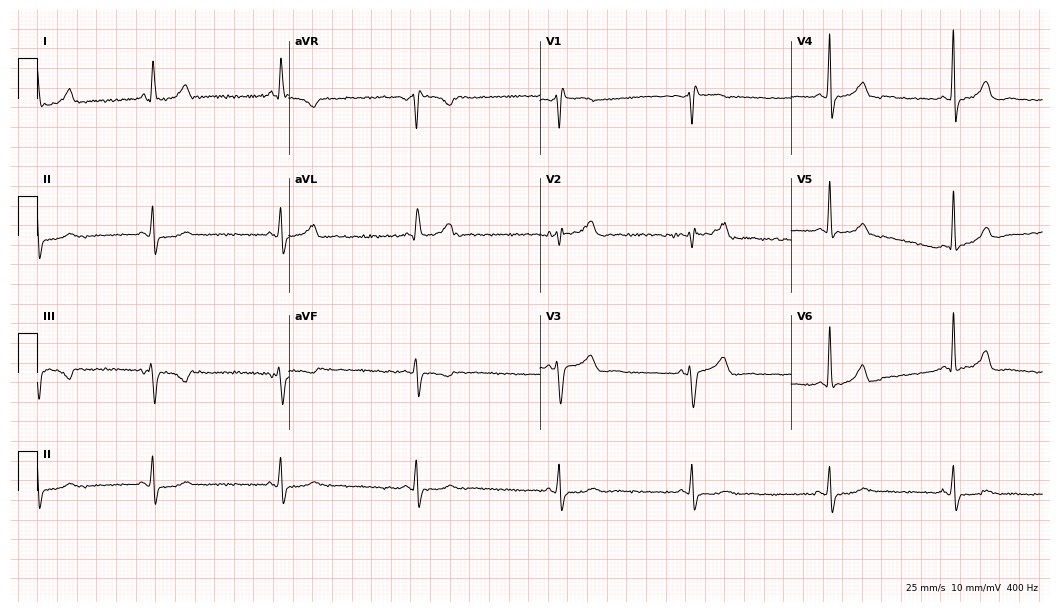
12-lead ECG from a female patient, 64 years old (10.2-second recording at 400 Hz). Shows sinus bradycardia (a sinus rate of 50 beats per minute or less).